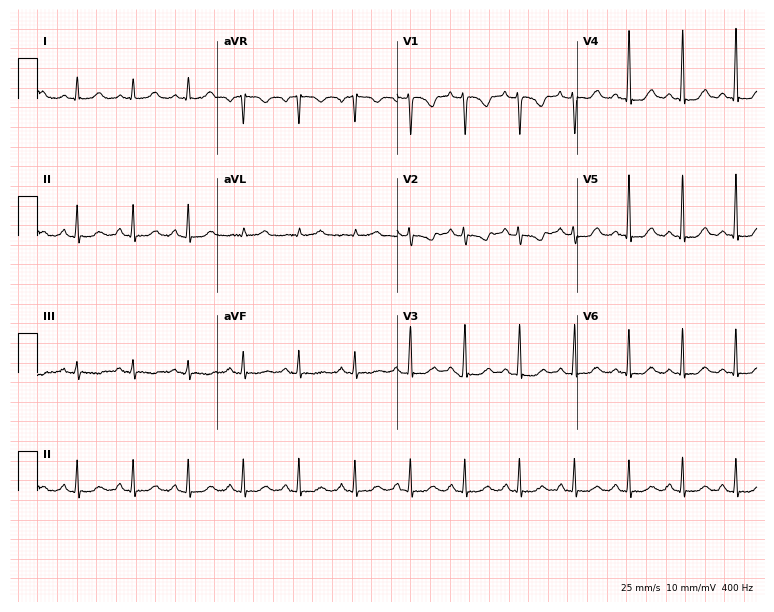
ECG (7.3-second recording at 400 Hz) — a 30-year-old female patient. Screened for six findings — first-degree AV block, right bundle branch block (RBBB), left bundle branch block (LBBB), sinus bradycardia, atrial fibrillation (AF), sinus tachycardia — none is recorded. Findings outside these six are not listed.